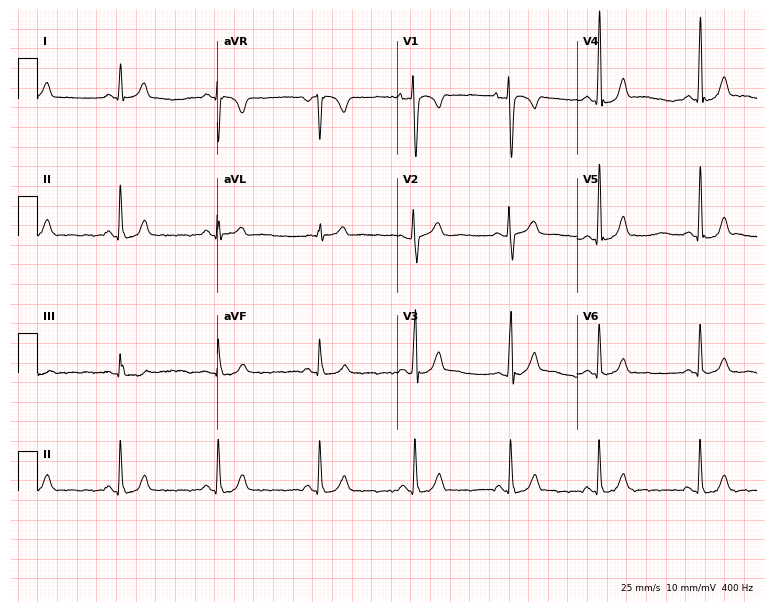
Electrocardiogram (7.3-second recording at 400 Hz), a 33-year-old male. Overall reading on record: normal ECG.